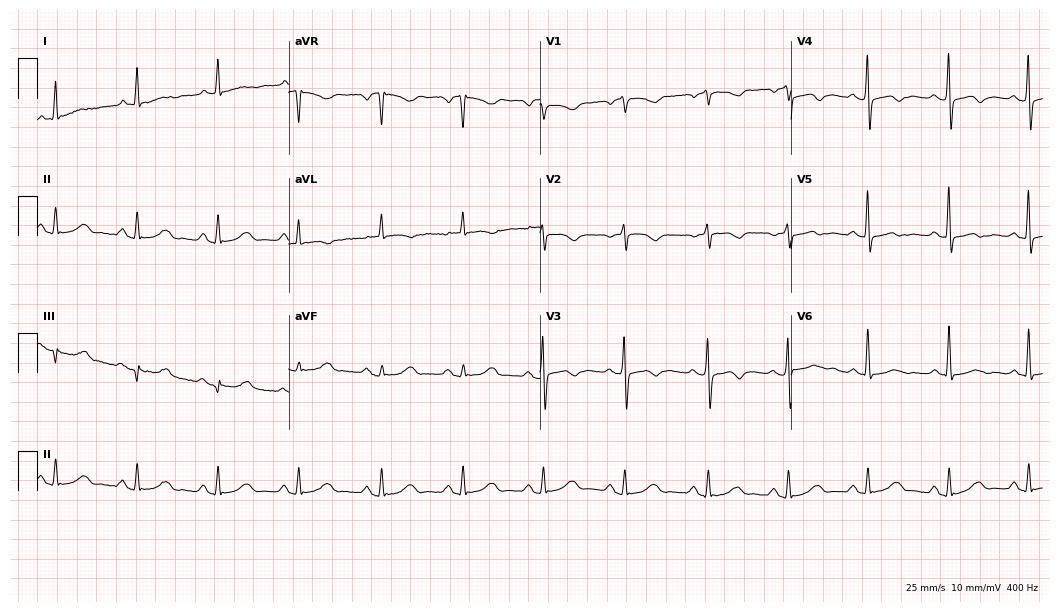
12-lead ECG (10.2-second recording at 400 Hz) from a 68-year-old female patient. Screened for six findings — first-degree AV block, right bundle branch block (RBBB), left bundle branch block (LBBB), sinus bradycardia, atrial fibrillation (AF), sinus tachycardia — none is recorded. Findings outside these six are not listed.